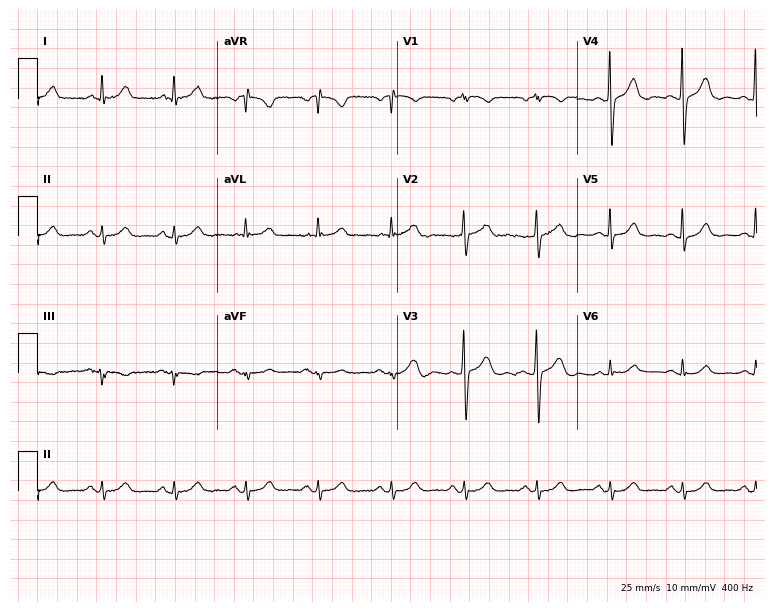
12-lead ECG from a 70-year-old female. Recorded interpretation: within normal limits.